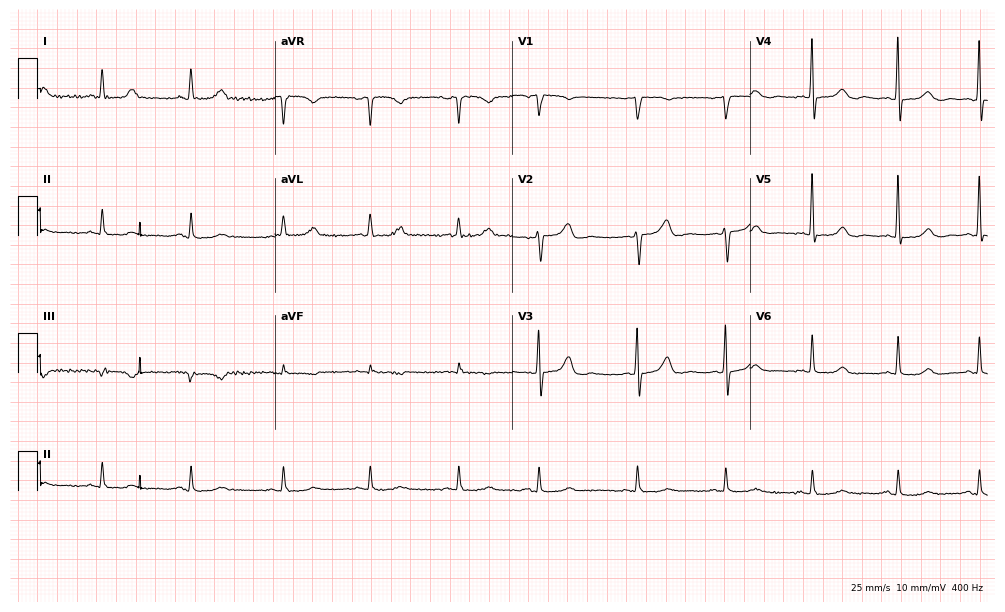
12-lead ECG from a female, 85 years old. Labelled as a normal ECG.